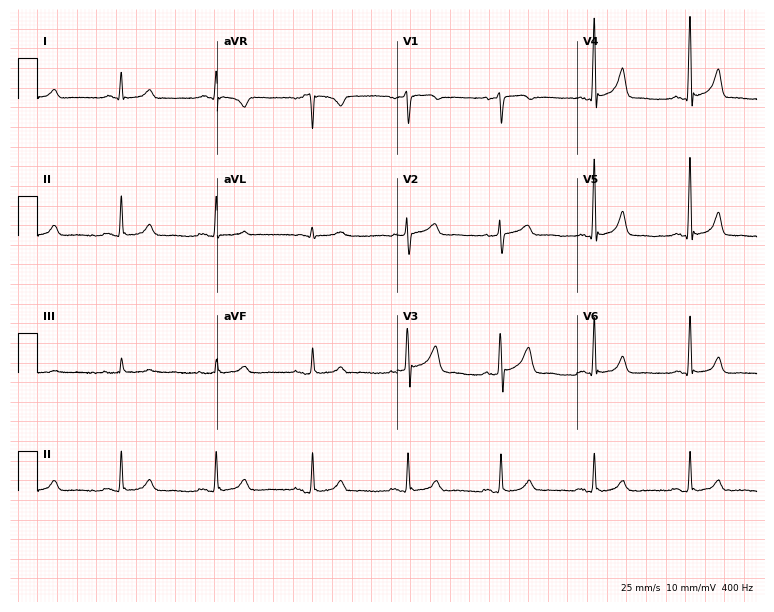
ECG (7.3-second recording at 400 Hz) — a male patient, 51 years old. Screened for six findings — first-degree AV block, right bundle branch block, left bundle branch block, sinus bradycardia, atrial fibrillation, sinus tachycardia — none is recorded. Only these six findings were labelled.